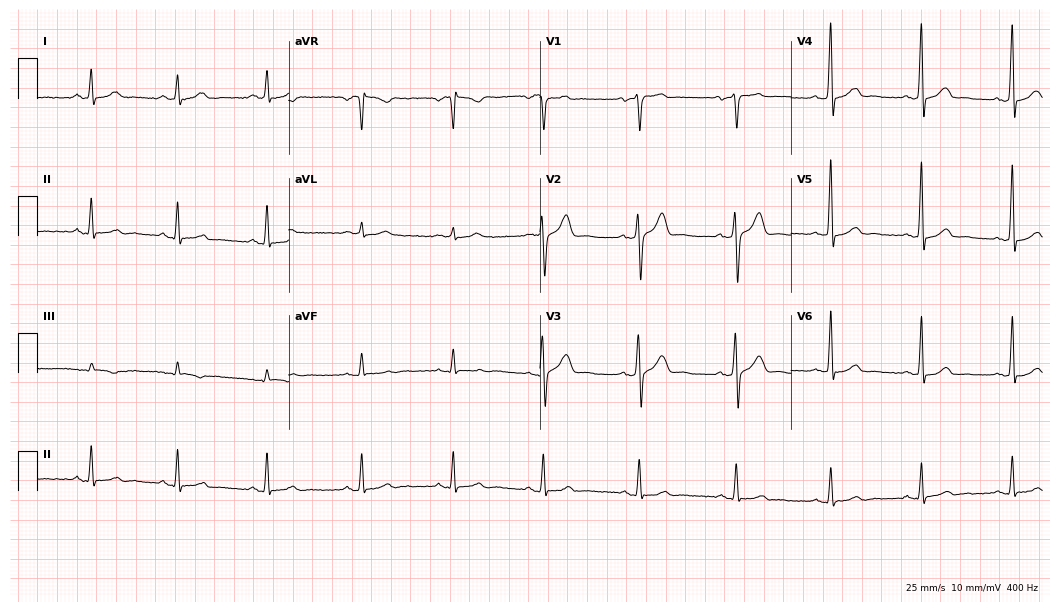
Electrocardiogram, a male, 59 years old. Overall reading on record: normal ECG.